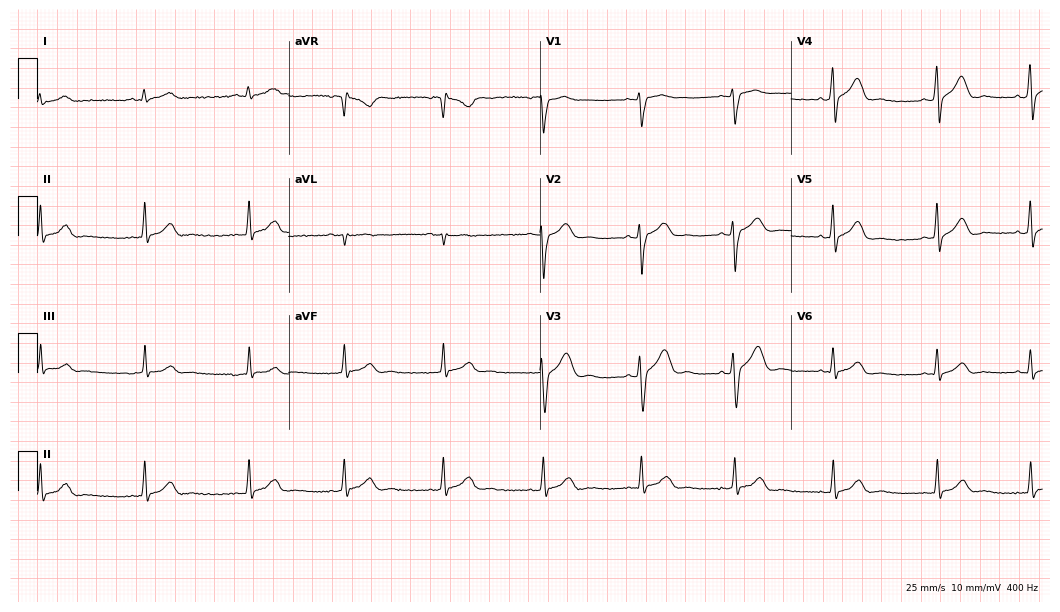
12-lead ECG from a 49-year-old man. Labelled as a normal ECG.